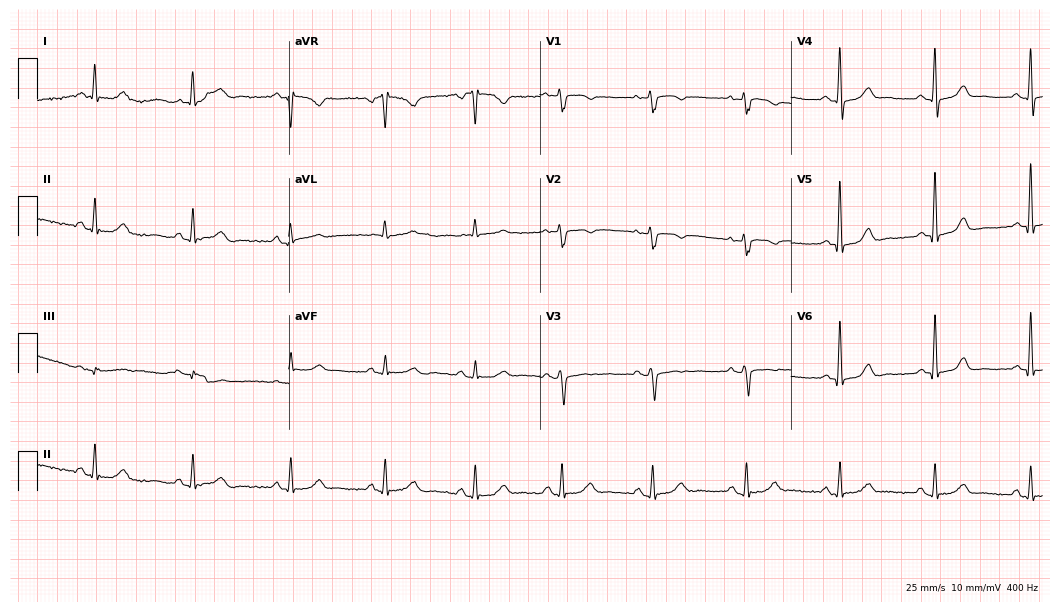
Electrocardiogram (10.2-second recording at 400 Hz), a 70-year-old female patient. Of the six screened findings (first-degree AV block, right bundle branch block, left bundle branch block, sinus bradycardia, atrial fibrillation, sinus tachycardia), none is recorded. Findings outside these six are not listed.